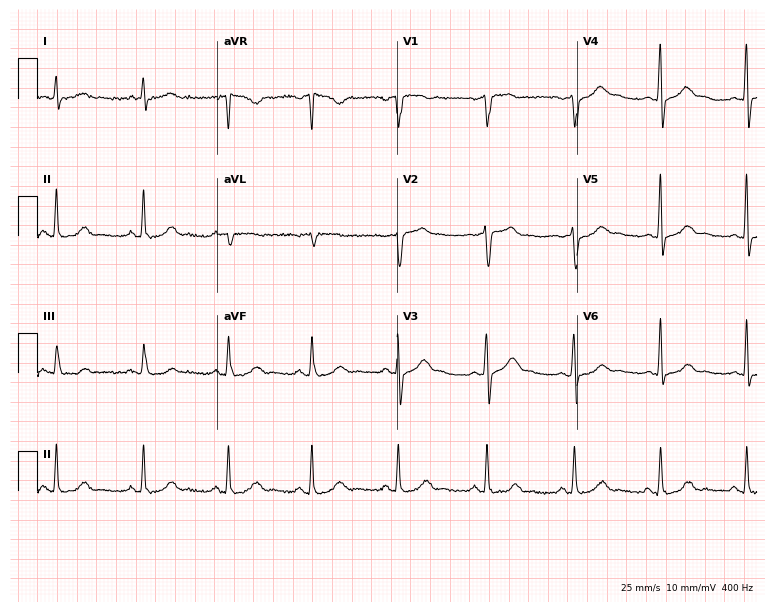
12-lead ECG from a 43-year-old male. Labelled as a normal ECG.